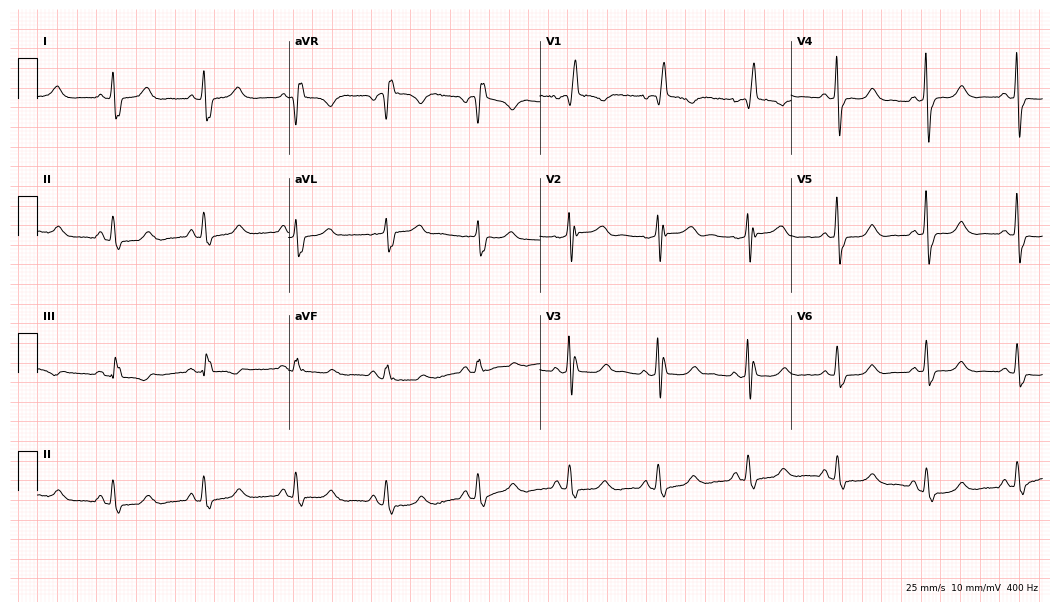
Resting 12-lead electrocardiogram. Patient: a female, 58 years old. The tracing shows right bundle branch block.